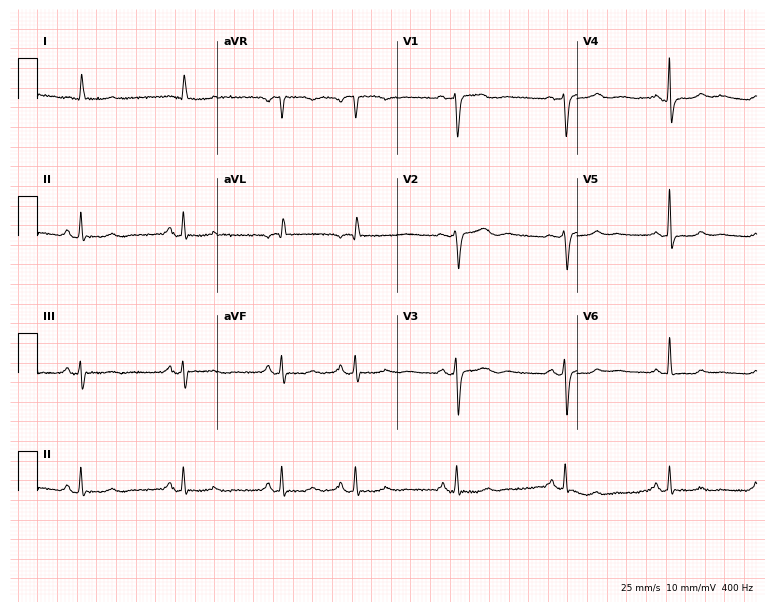
Standard 12-lead ECG recorded from an 85-year-old female patient. Read as a normal ECG.